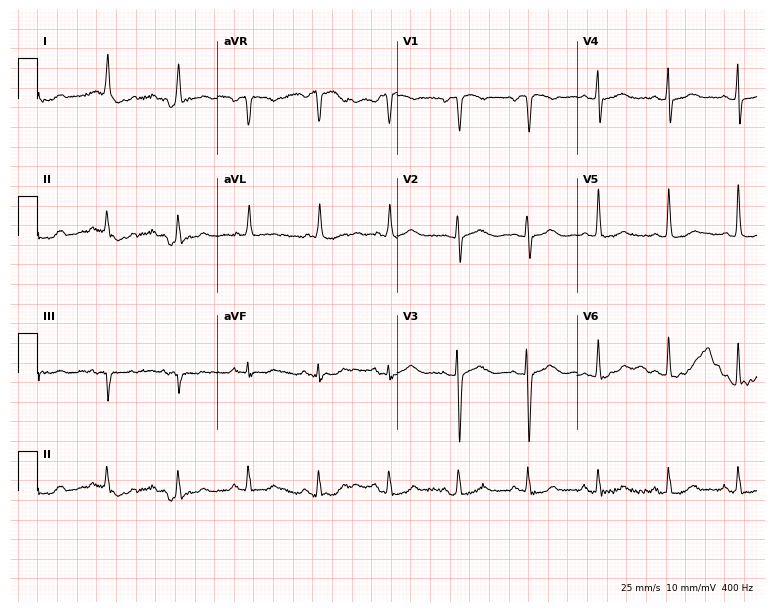
Electrocardiogram (7.3-second recording at 400 Hz), an 80-year-old woman. Overall reading on record: normal ECG.